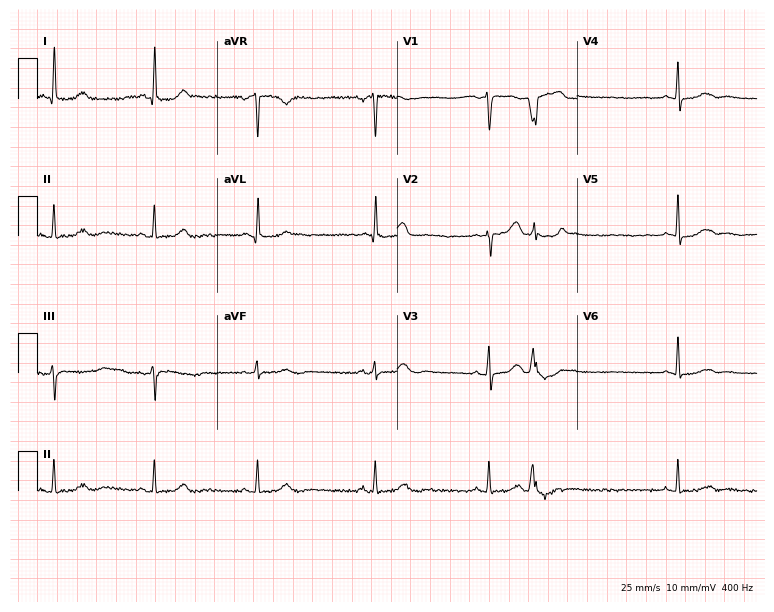
12-lead ECG from a 67-year-old female (7.3-second recording at 400 Hz). No first-degree AV block, right bundle branch block, left bundle branch block, sinus bradycardia, atrial fibrillation or sinus tachycardia recorded for this tracing.